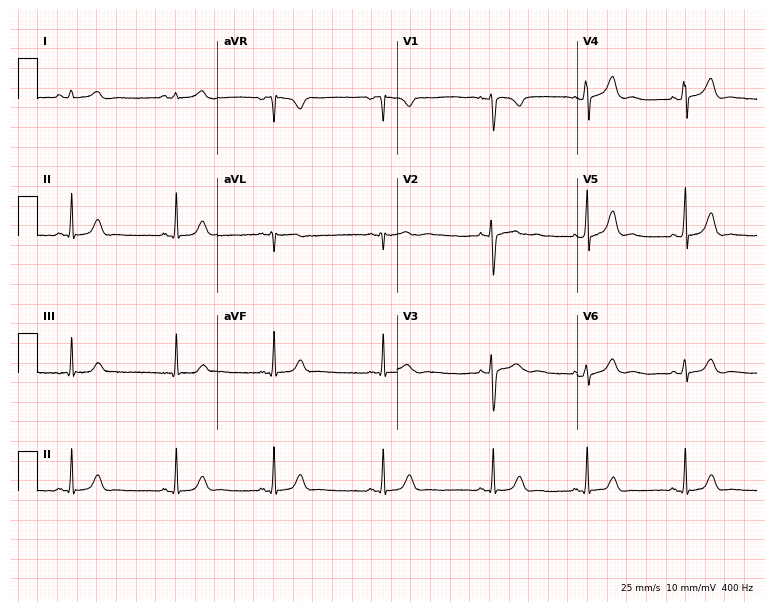
12-lead ECG from a 26-year-old male. Labelled as a normal ECG.